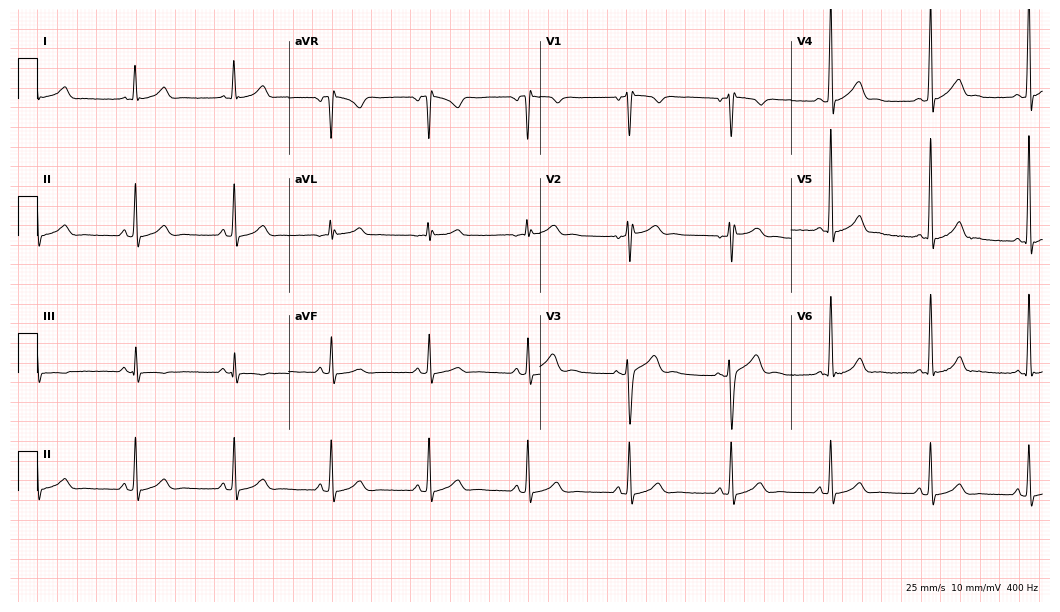
ECG (10.2-second recording at 400 Hz) — a man, 24 years old. Labelled as a normal ECG.